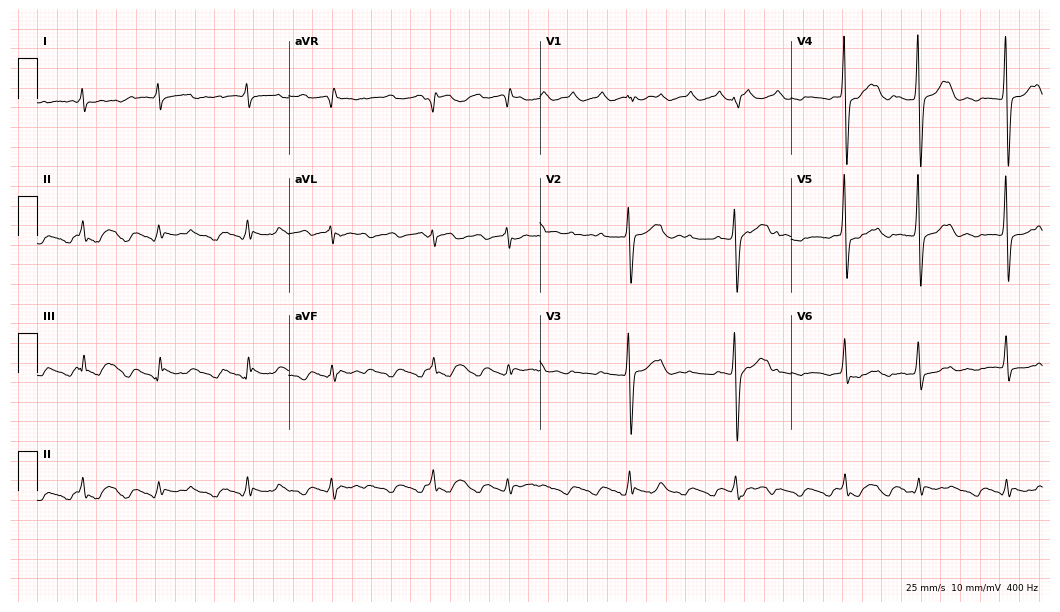
Standard 12-lead ECG recorded from a man, 71 years old. None of these six findings is recorded: first-degree AV block, right bundle branch block, left bundle branch block, sinus bradycardia, atrial fibrillation, sinus tachycardia.